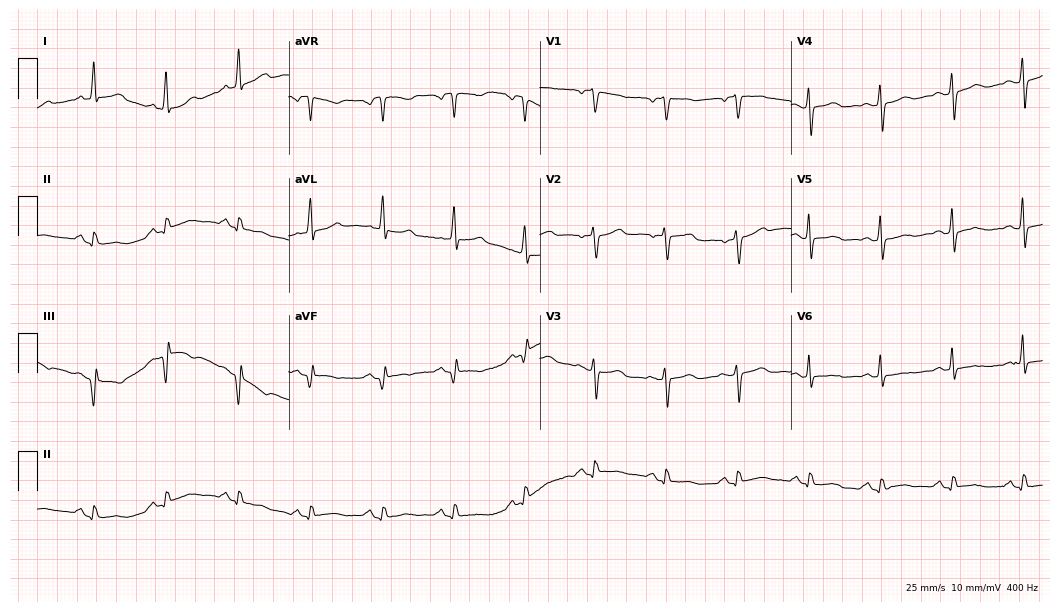
Resting 12-lead electrocardiogram. Patient: a female, 56 years old. None of these six findings is recorded: first-degree AV block, right bundle branch block, left bundle branch block, sinus bradycardia, atrial fibrillation, sinus tachycardia. Findings outside these six are not listed.